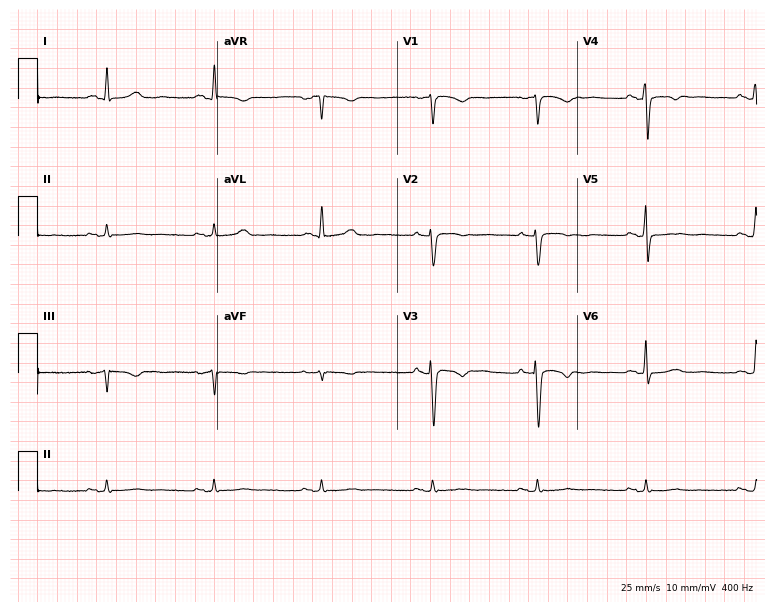
Resting 12-lead electrocardiogram (7.3-second recording at 400 Hz). Patient: a female, 69 years old. None of these six findings is recorded: first-degree AV block, right bundle branch block (RBBB), left bundle branch block (LBBB), sinus bradycardia, atrial fibrillation (AF), sinus tachycardia.